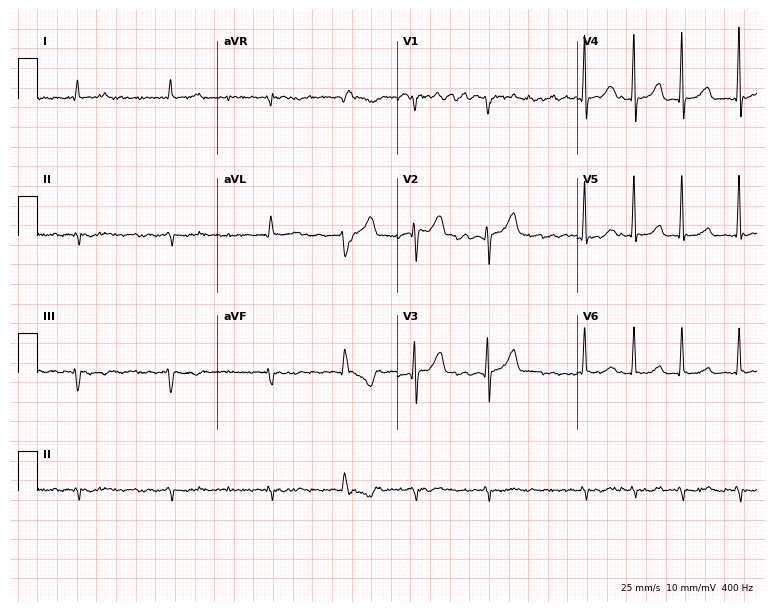
12-lead ECG from a 69-year-old male patient (7.3-second recording at 400 Hz). Shows atrial fibrillation.